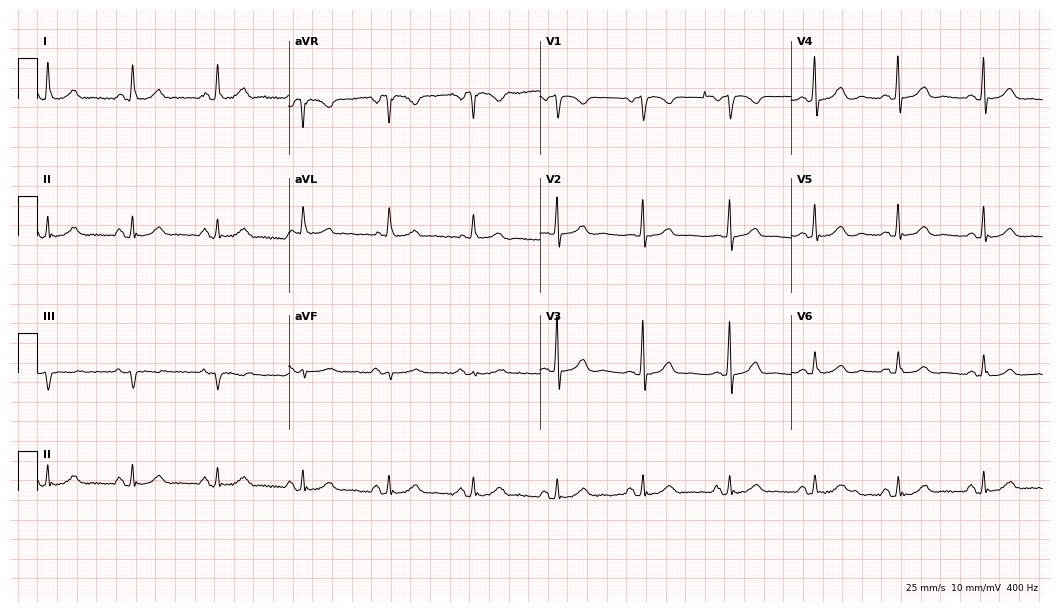
12-lead ECG from a female, 68 years old. Labelled as a normal ECG.